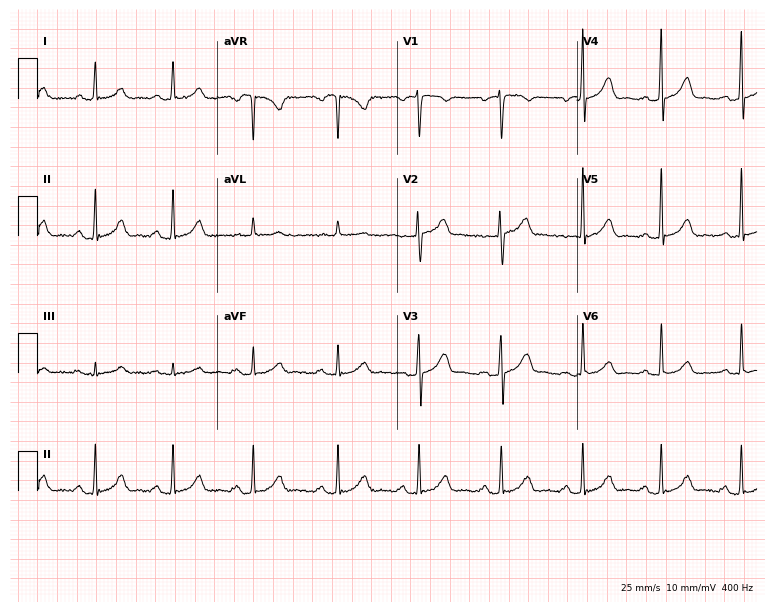
Resting 12-lead electrocardiogram (7.3-second recording at 400 Hz). Patient: a female, 44 years old. None of these six findings is recorded: first-degree AV block, right bundle branch block, left bundle branch block, sinus bradycardia, atrial fibrillation, sinus tachycardia. Only these six findings were labelled.